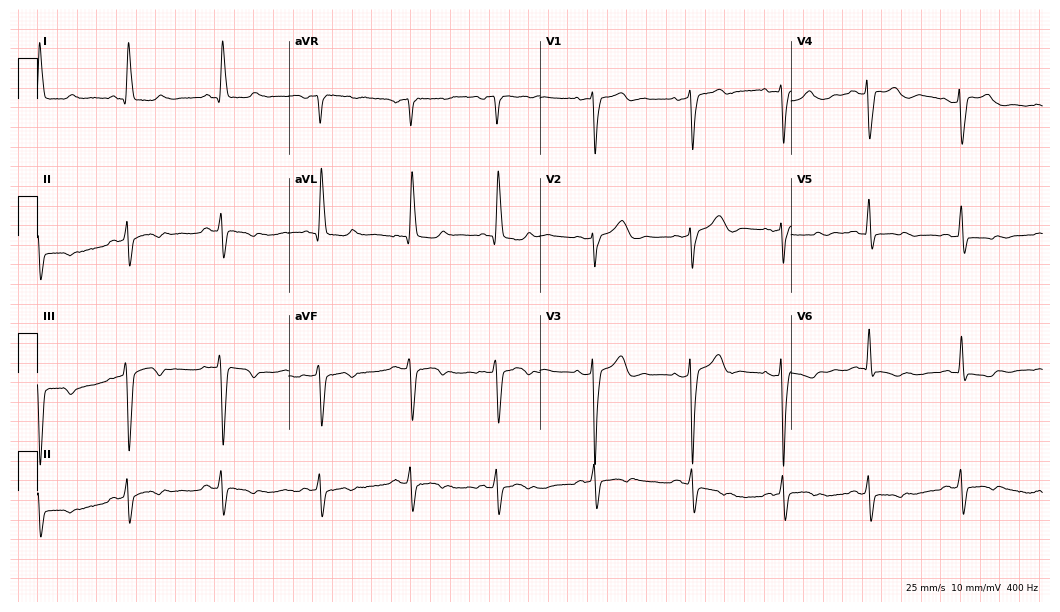
Standard 12-lead ECG recorded from a female patient, 72 years old (10.2-second recording at 400 Hz). None of these six findings is recorded: first-degree AV block, right bundle branch block, left bundle branch block, sinus bradycardia, atrial fibrillation, sinus tachycardia. Only these six findings were labelled.